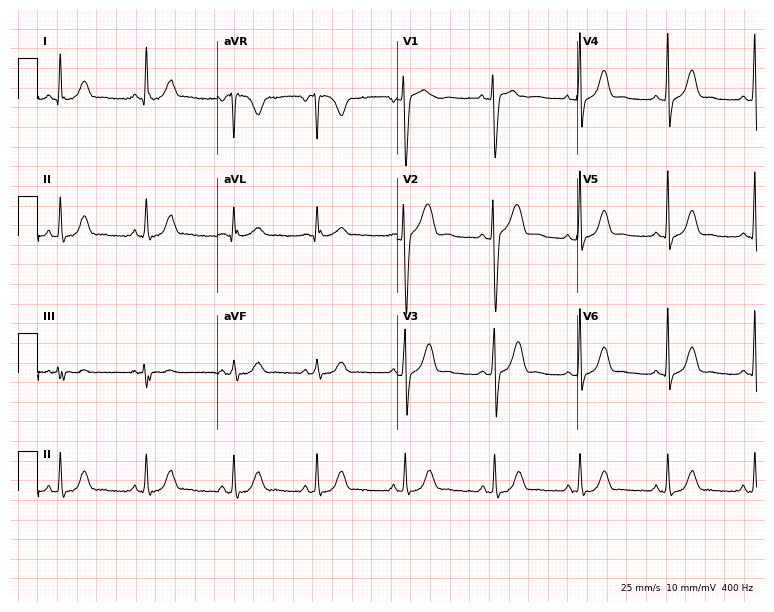
Electrocardiogram, a 41-year-old female. Of the six screened findings (first-degree AV block, right bundle branch block (RBBB), left bundle branch block (LBBB), sinus bradycardia, atrial fibrillation (AF), sinus tachycardia), none is recorded. Other findings, if any, are not listed.